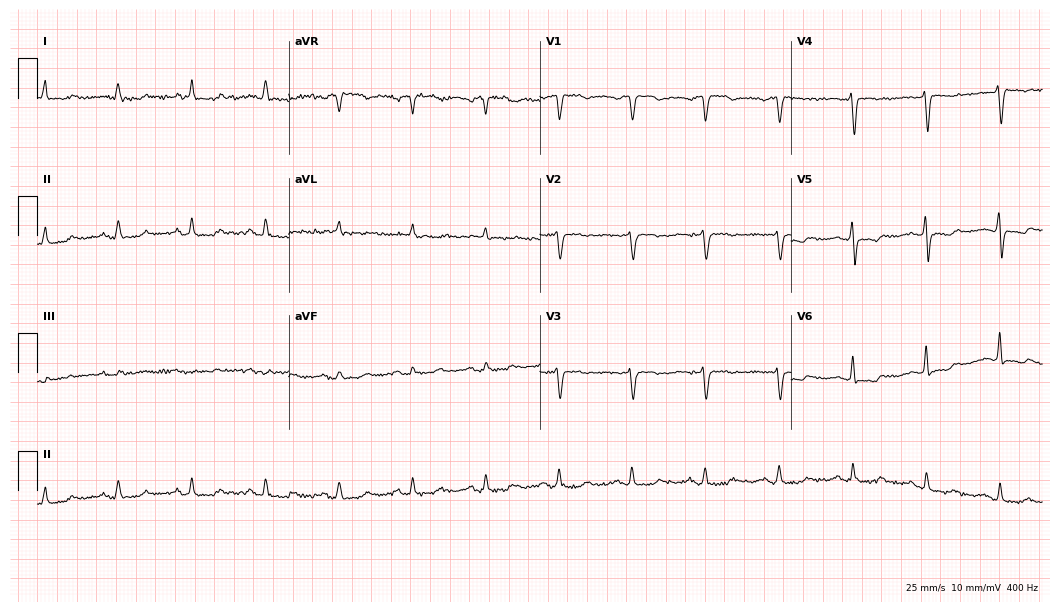
ECG (10.2-second recording at 400 Hz) — a female patient, 66 years old. Screened for six findings — first-degree AV block, right bundle branch block, left bundle branch block, sinus bradycardia, atrial fibrillation, sinus tachycardia — none is recorded.